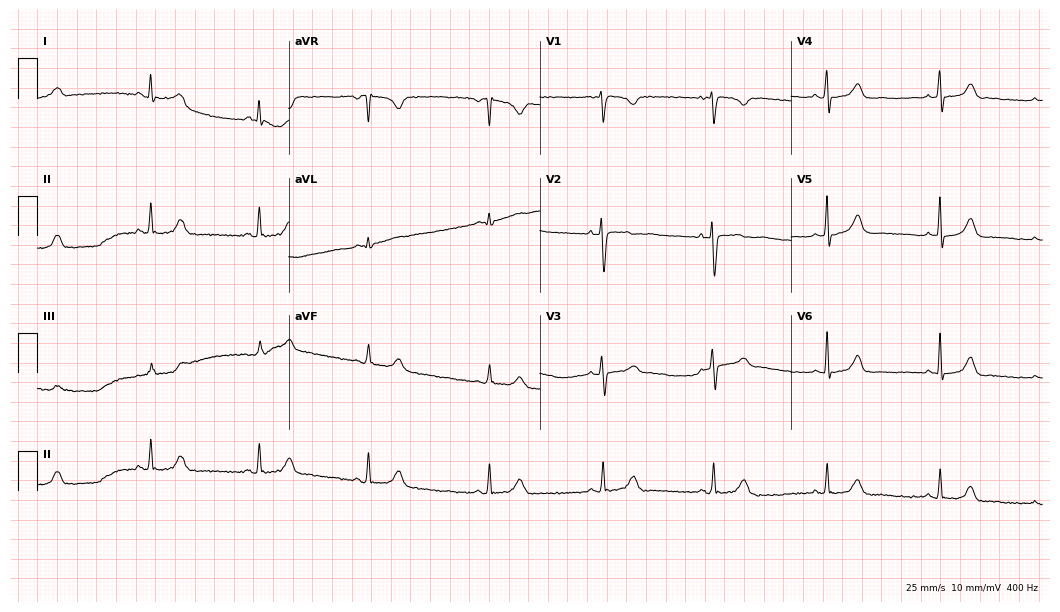
Standard 12-lead ECG recorded from a female patient, 30 years old. None of these six findings is recorded: first-degree AV block, right bundle branch block (RBBB), left bundle branch block (LBBB), sinus bradycardia, atrial fibrillation (AF), sinus tachycardia.